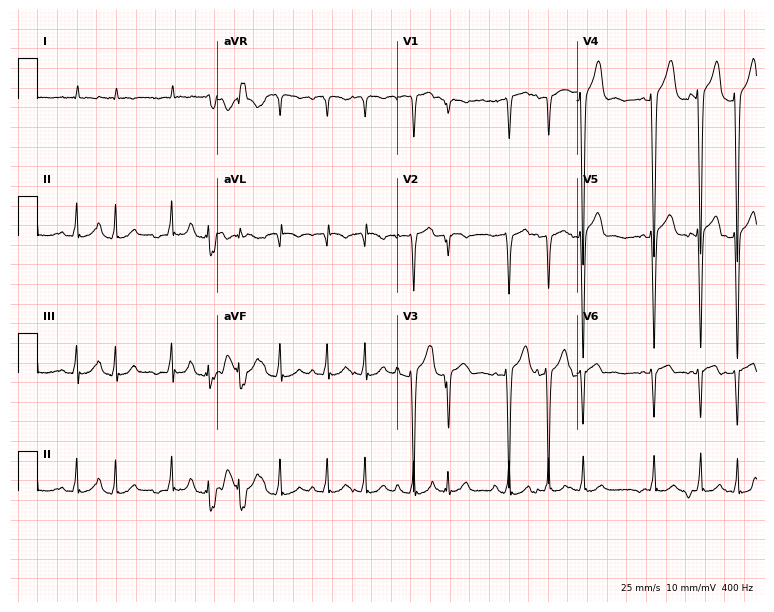
12-lead ECG from an 85-year-old male. Shows atrial fibrillation.